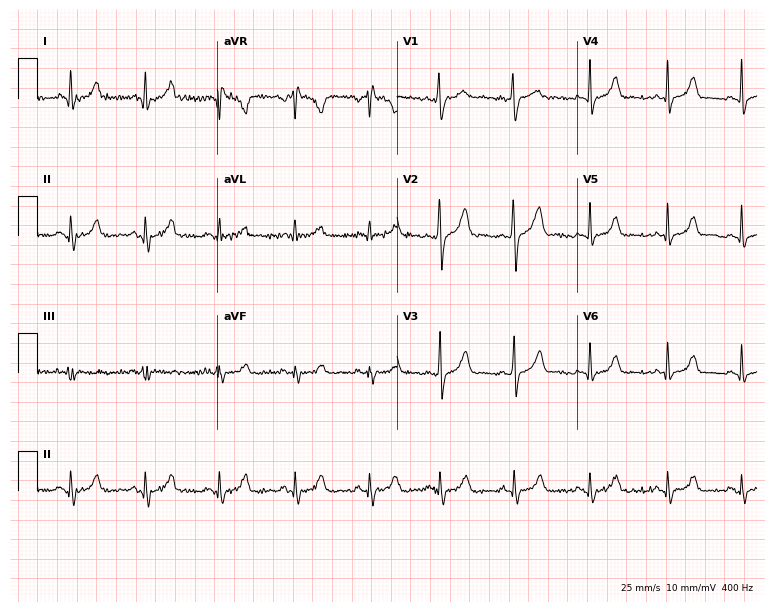
12-lead ECG from a 22-year-old female (7.3-second recording at 400 Hz). Recorded interpretation: within normal limits.